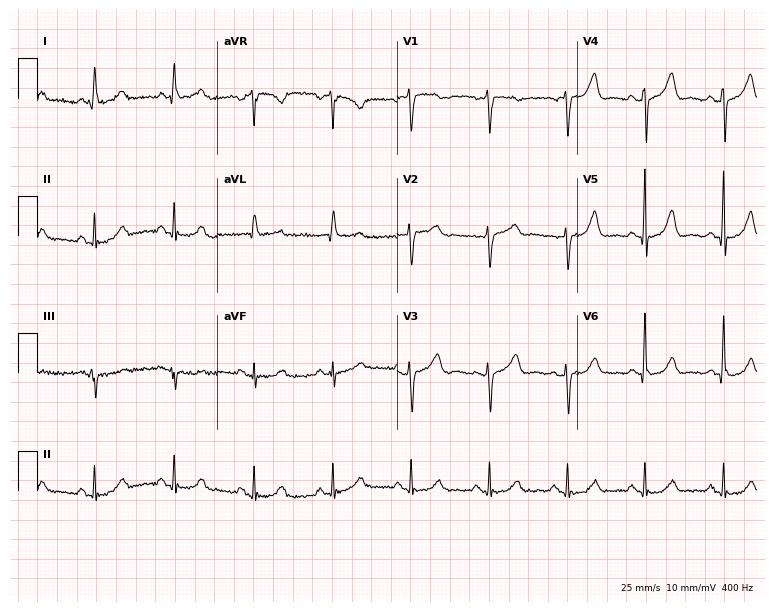
Electrocardiogram (7.3-second recording at 400 Hz), a woman, 63 years old. Overall reading on record: normal ECG.